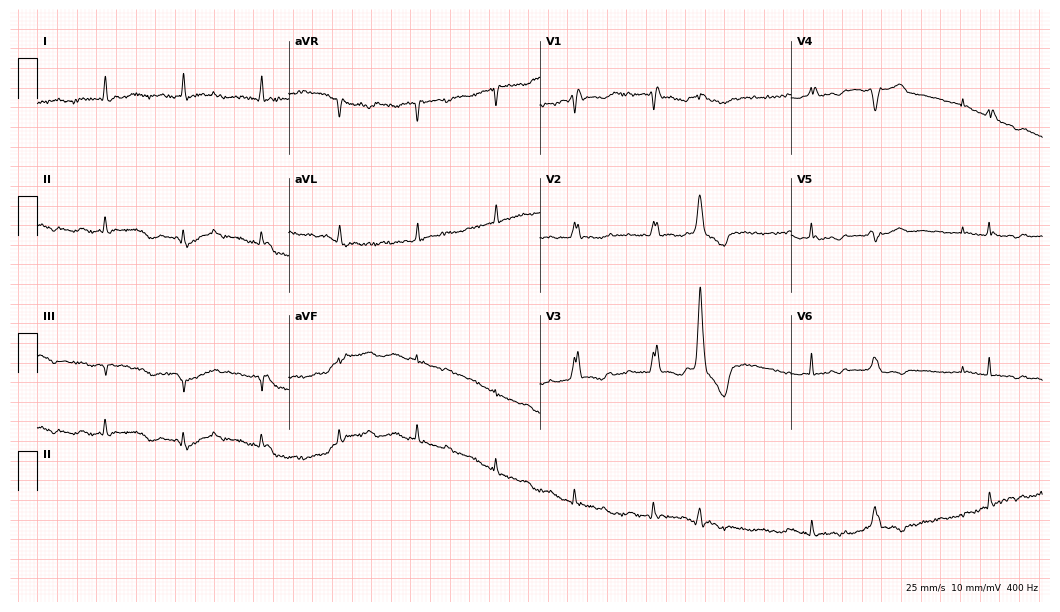
Standard 12-lead ECG recorded from a 77-year-old female patient (10.2-second recording at 400 Hz). None of these six findings is recorded: first-degree AV block, right bundle branch block, left bundle branch block, sinus bradycardia, atrial fibrillation, sinus tachycardia.